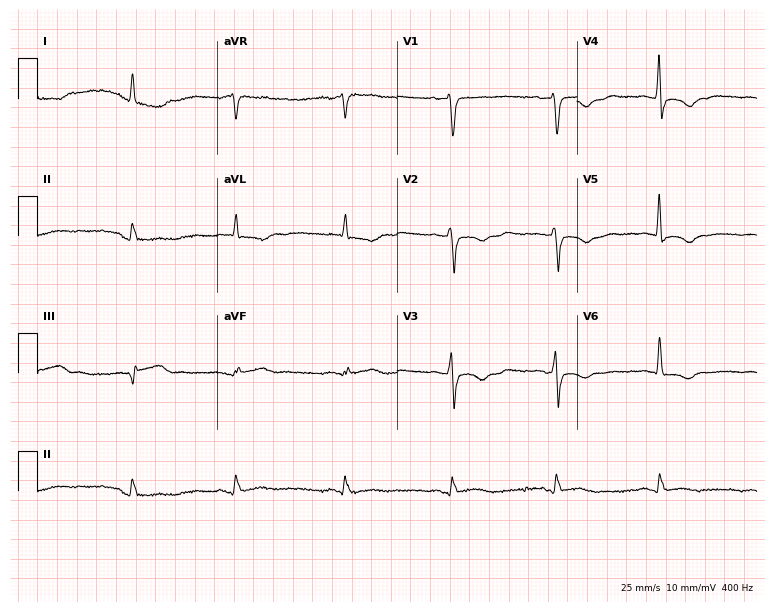
12-lead ECG from a man, 69 years old (7.3-second recording at 400 Hz). No first-degree AV block, right bundle branch block, left bundle branch block, sinus bradycardia, atrial fibrillation or sinus tachycardia recorded for this tracing. Other findings, if any, are not listed.